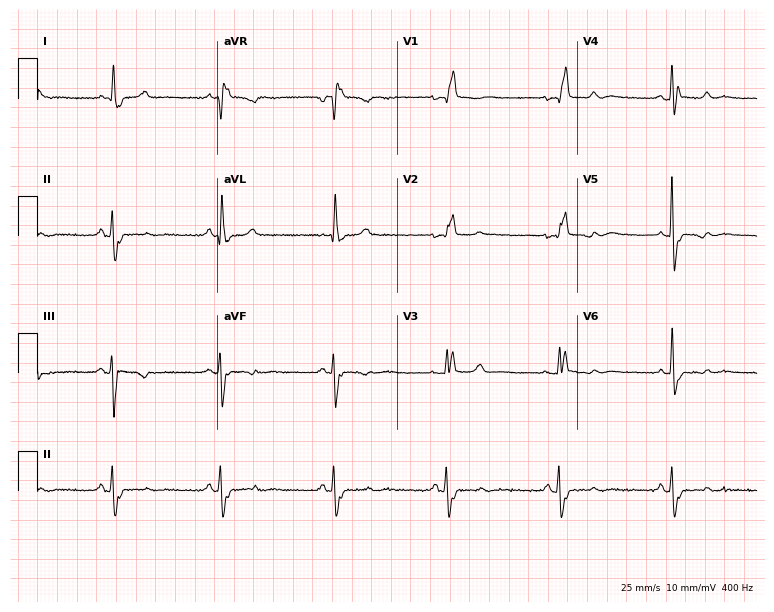
ECG — a female, 84 years old. Findings include right bundle branch block (RBBB).